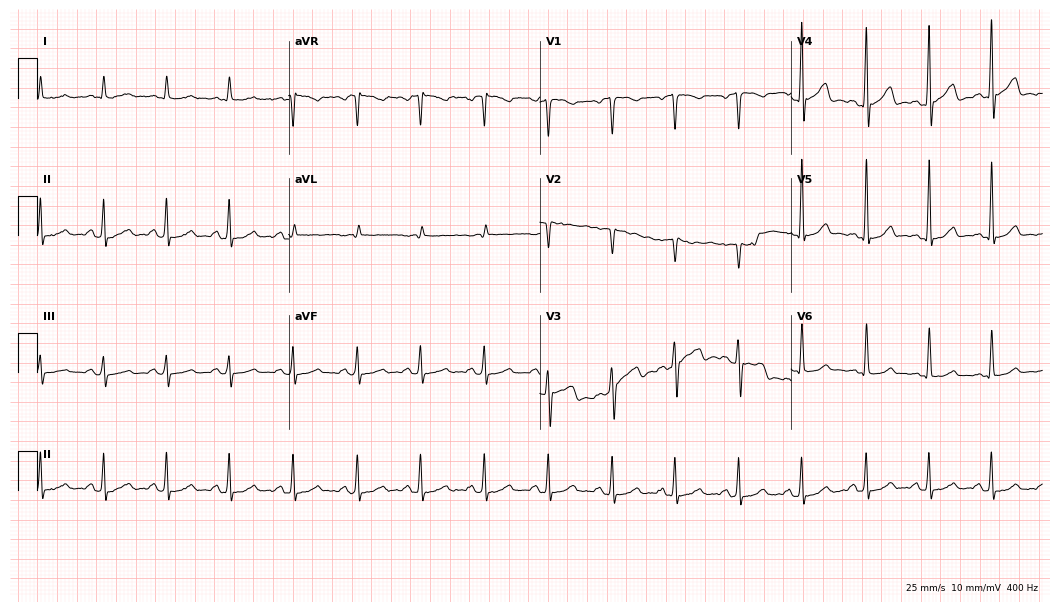
Standard 12-lead ECG recorded from a male, 46 years old (10.2-second recording at 400 Hz). None of these six findings is recorded: first-degree AV block, right bundle branch block, left bundle branch block, sinus bradycardia, atrial fibrillation, sinus tachycardia. Only these six findings were labelled.